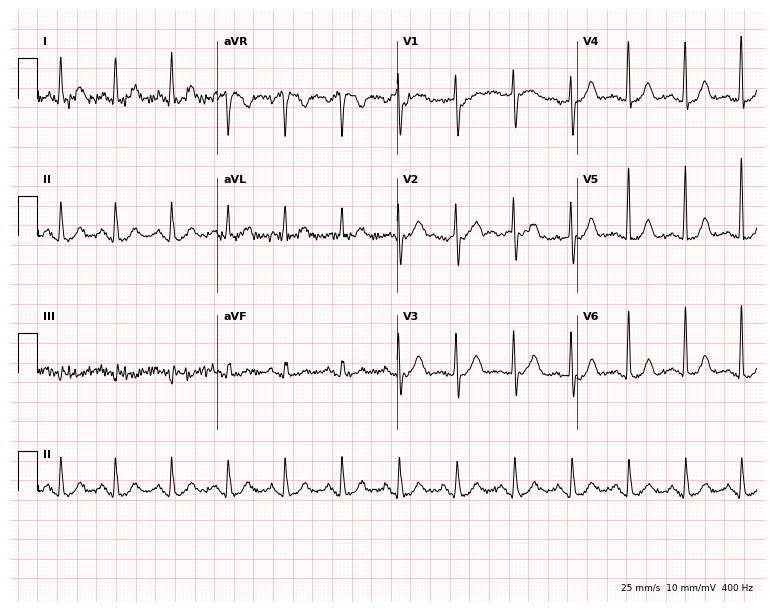
12-lead ECG from a 62-year-old female. No first-degree AV block, right bundle branch block, left bundle branch block, sinus bradycardia, atrial fibrillation or sinus tachycardia recorded for this tracing. Only these six findings were labelled.